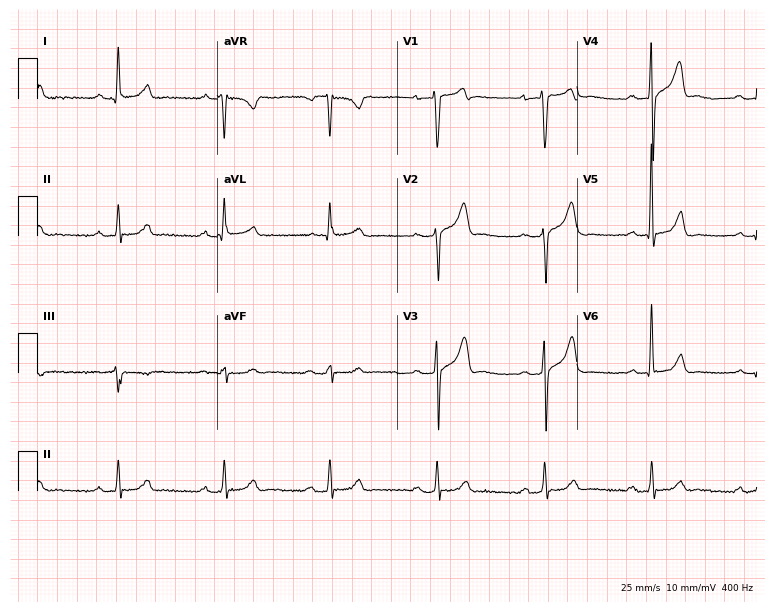
Resting 12-lead electrocardiogram. Patient: a 55-year-old male. None of these six findings is recorded: first-degree AV block, right bundle branch block, left bundle branch block, sinus bradycardia, atrial fibrillation, sinus tachycardia.